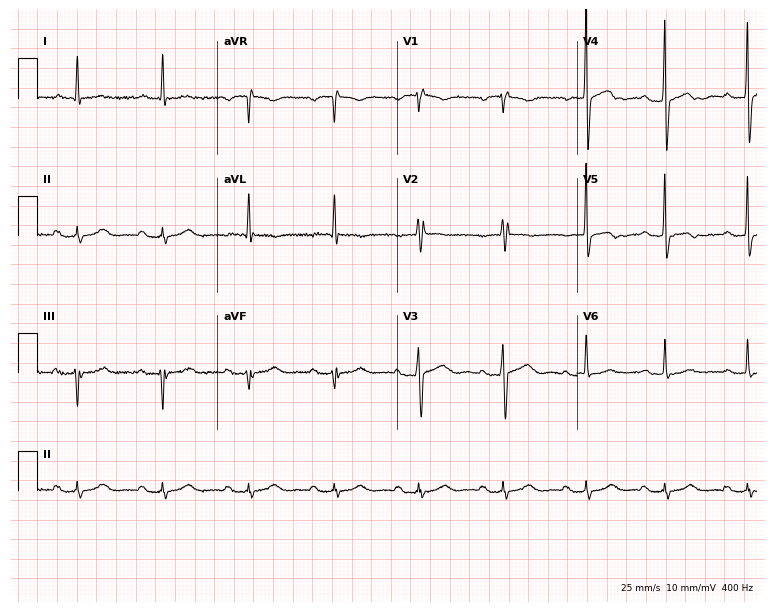
Resting 12-lead electrocardiogram (7.3-second recording at 400 Hz). Patient: a 73-year-old woman. The tracing shows first-degree AV block.